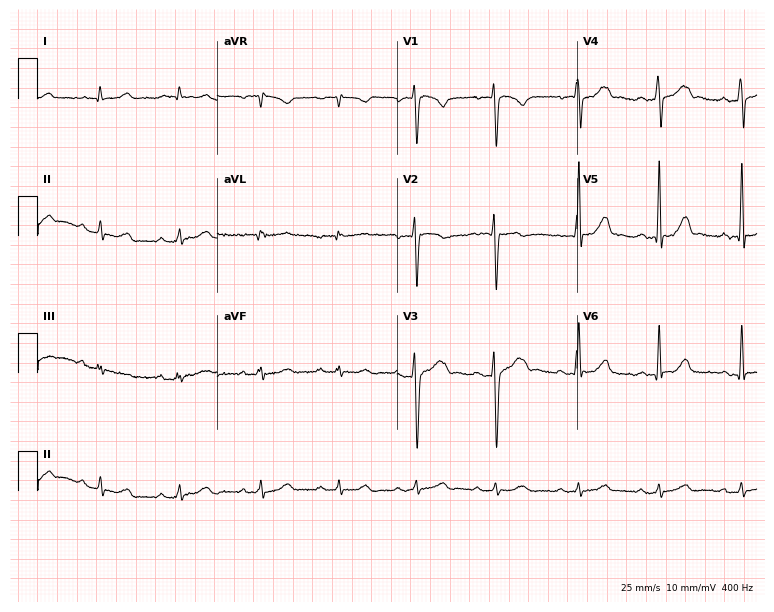
Electrocardiogram (7.3-second recording at 400 Hz), a male patient, 32 years old. Of the six screened findings (first-degree AV block, right bundle branch block, left bundle branch block, sinus bradycardia, atrial fibrillation, sinus tachycardia), none is recorded.